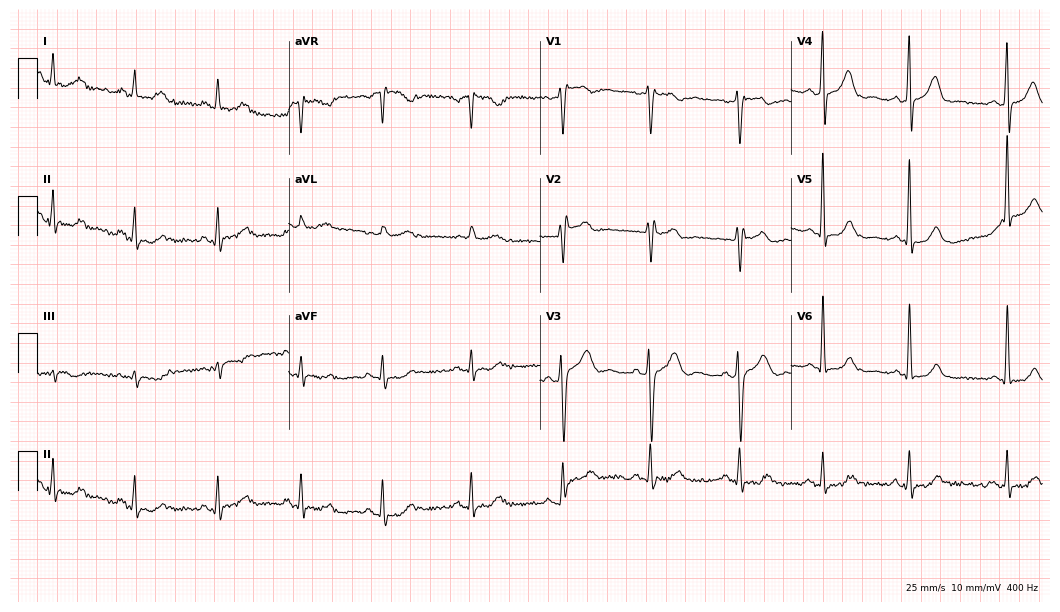
Resting 12-lead electrocardiogram. Patient: a 46-year-old man. None of these six findings is recorded: first-degree AV block, right bundle branch block, left bundle branch block, sinus bradycardia, atrial fibrillation, sinus tachycardia. Other findings, if any, are not listed.